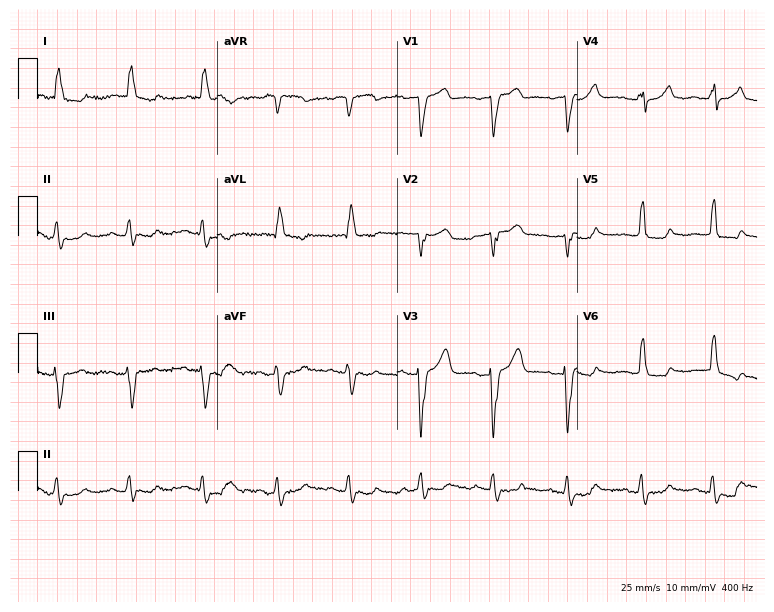
Electrocardiogram, an 83-year-old woman. Of the six screened findings (first-degree AV block, right bundle branch block, left bundle branch block, sinus bradycardia, atrial fibrillation, sinus tachycardia), none is recorded. Other findings, if any, are not listed.